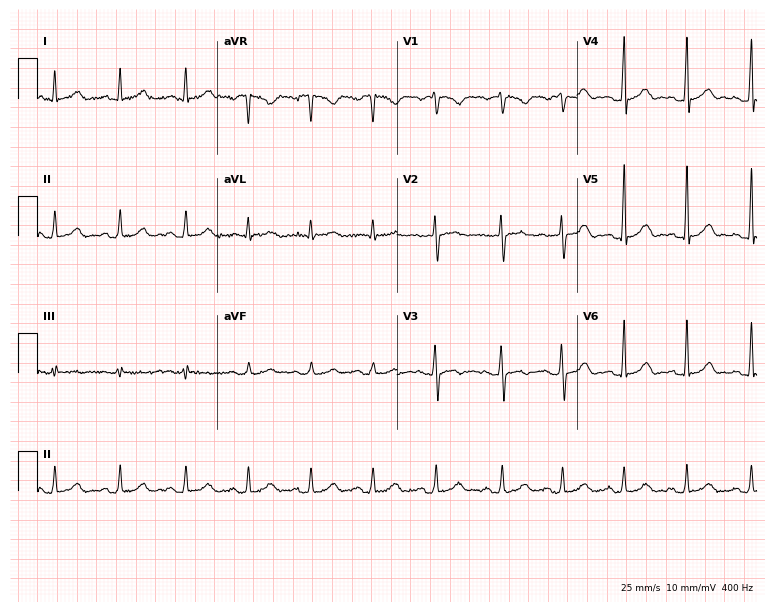
Resting 12-lead electrocardiogram (7.3-second recording at 400 Hz). Patient: a woman, 37 years old. Read as a normal ECG.